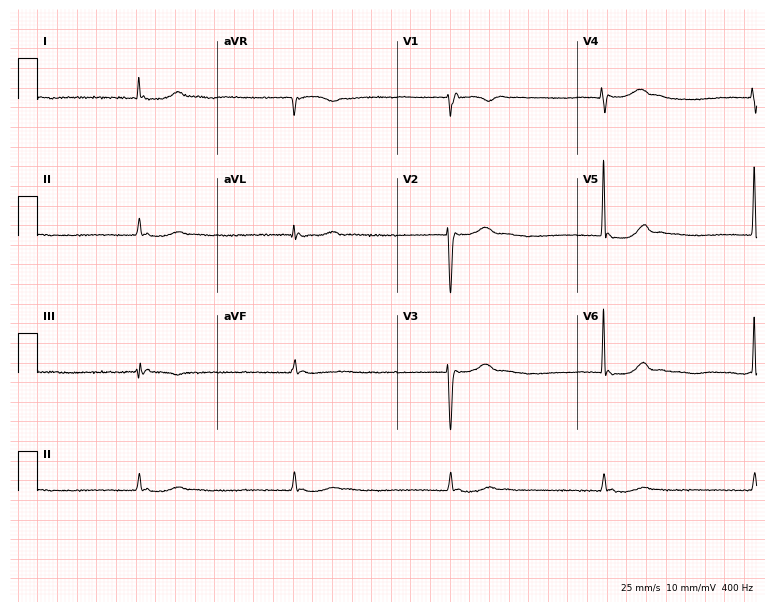
Electrocardiogram, a 79-year-old male patient. Of the six screened findings (first-degree AV block, right bundle branch block, left bundle branch block, sinus bradycardia, atrial fibrillation, sinus tachycardia), none is recorded. Findings outside these six are not listed.